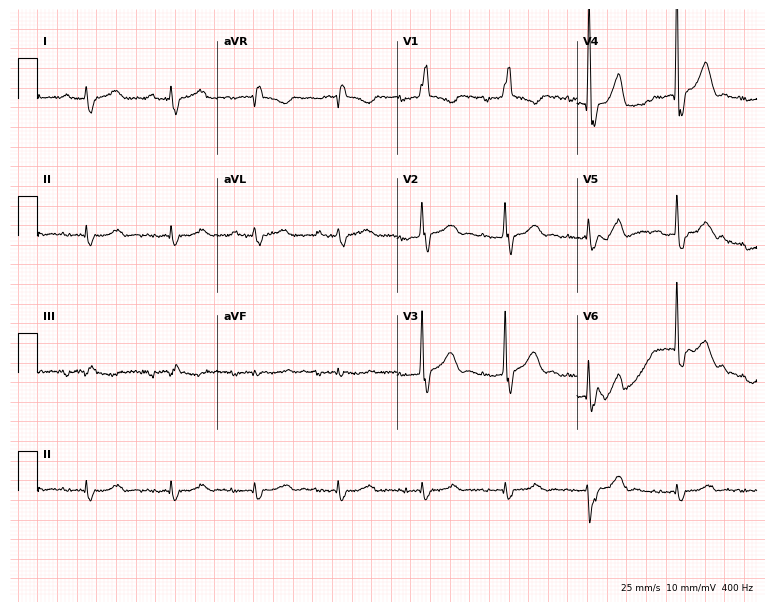
ECG — a 78-year-old male patient. Findings include right bundle branch block.